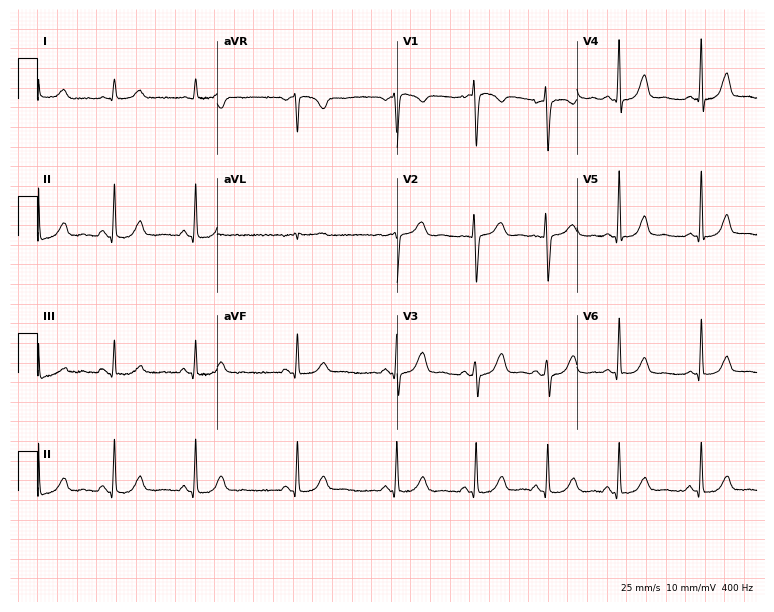
12-lead ECG from a female patient, 39 years old. Labelled as a normal ECG.